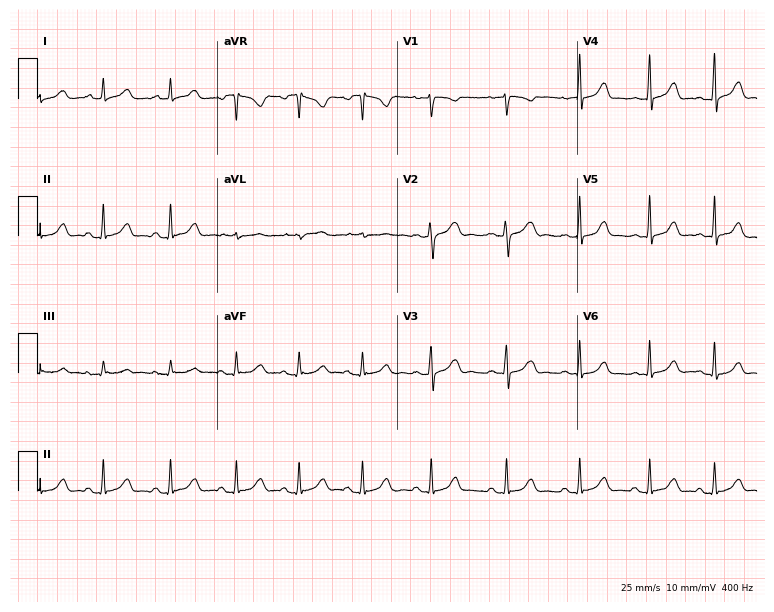
Resting 12-lead electrocardiogram. Patient: a 26-year-old female. Read as a normal ECG.